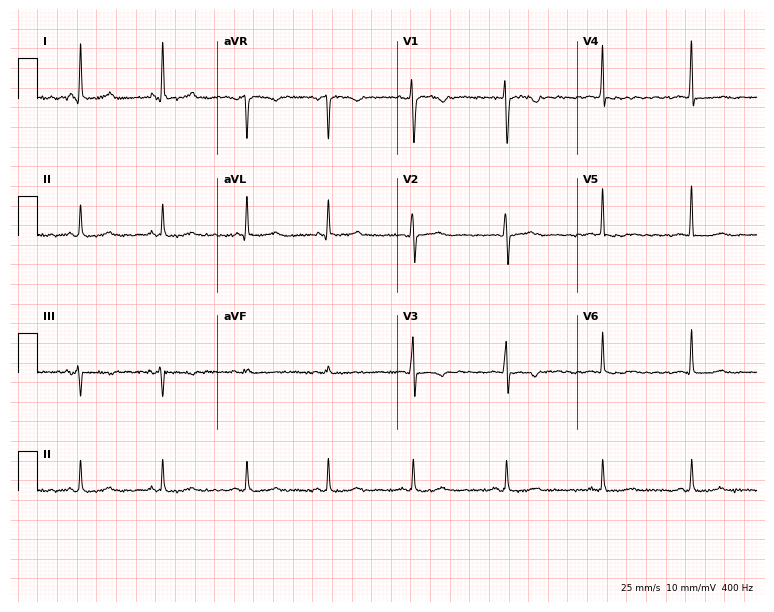
Standard 12-lead ECG recorded from a female patient, 40 years old. None of these six findings is recorded: first-degree AV block, right bundle branch block, left bundle branch block, sinus bradycardia, atrial fibrillation, sinus tachycardia.